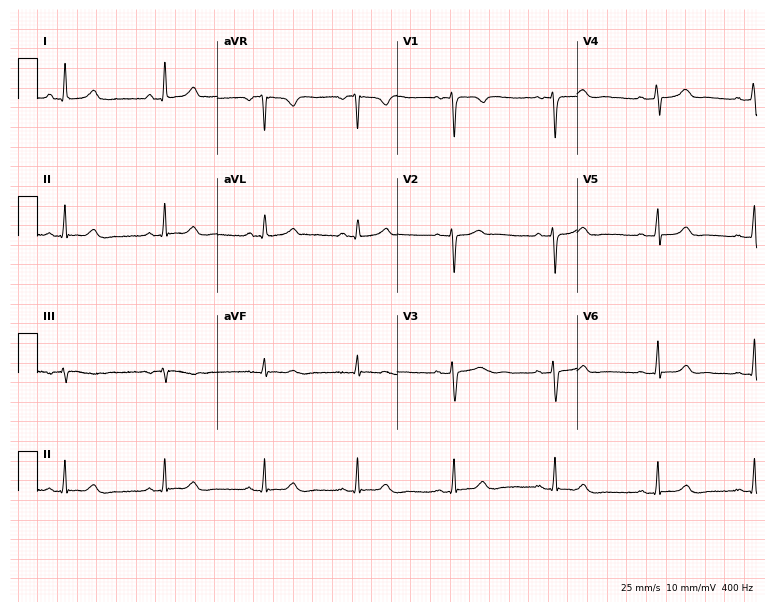
12-lead ECG from a woman, 34 years old (7.3-second recording at 400 Hz). Recorded interpretation: within normal limits.